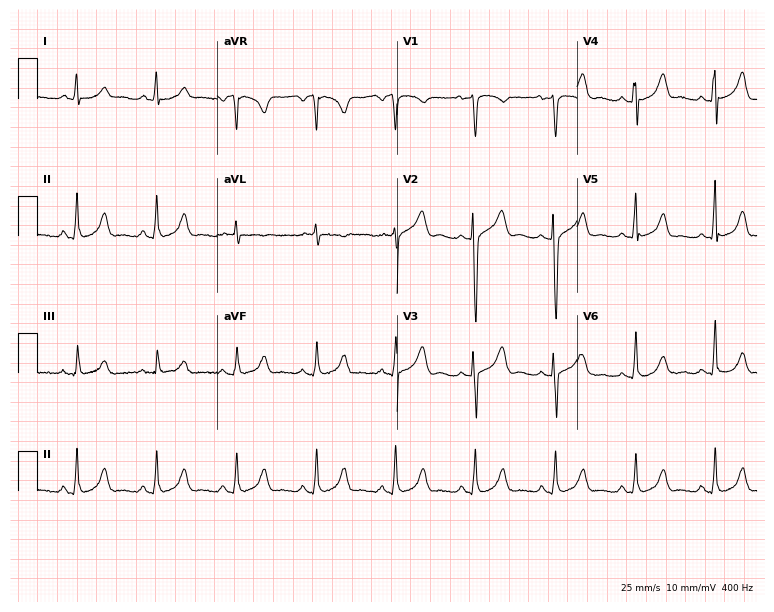
12-lead ECG from a female patient, 27 years old. Labelled as a normal ECG.